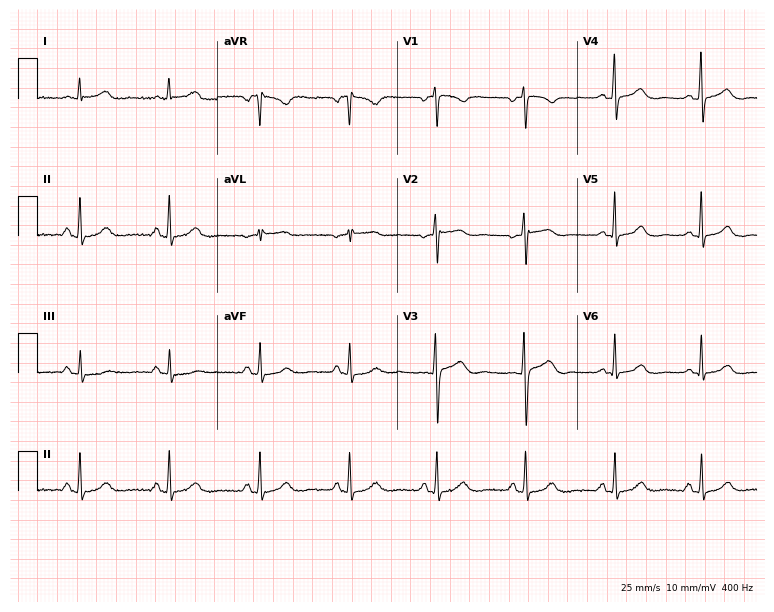
Standard 12-lead ECG recorded from a female patient, 42 years old. Read as a normal ECG.